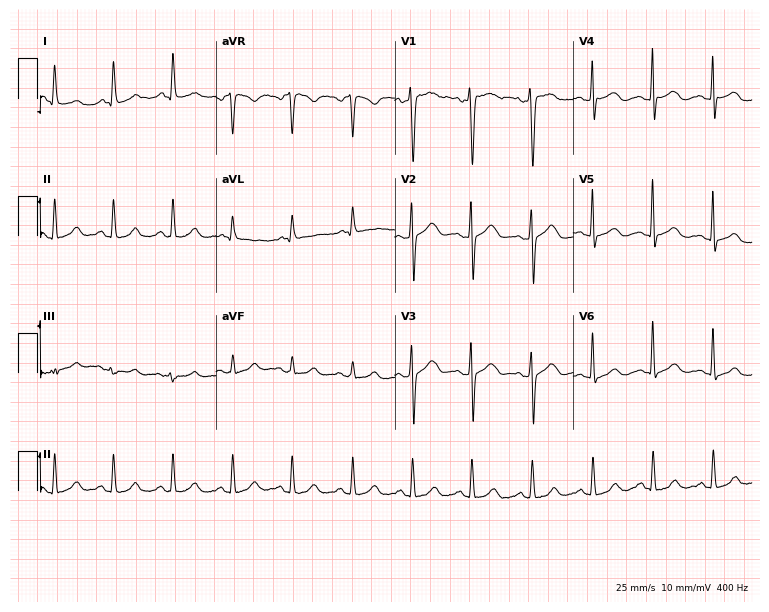
Standard 12-lead ECG recorded from a woman, 44 years old. None of these six findings is recorded: first-degree AV block, right bundle branch block, left bundle branch block, sinus bradycardia, atrial fibrillation, sinus tachycardia. Other findings, if any, are not listed.